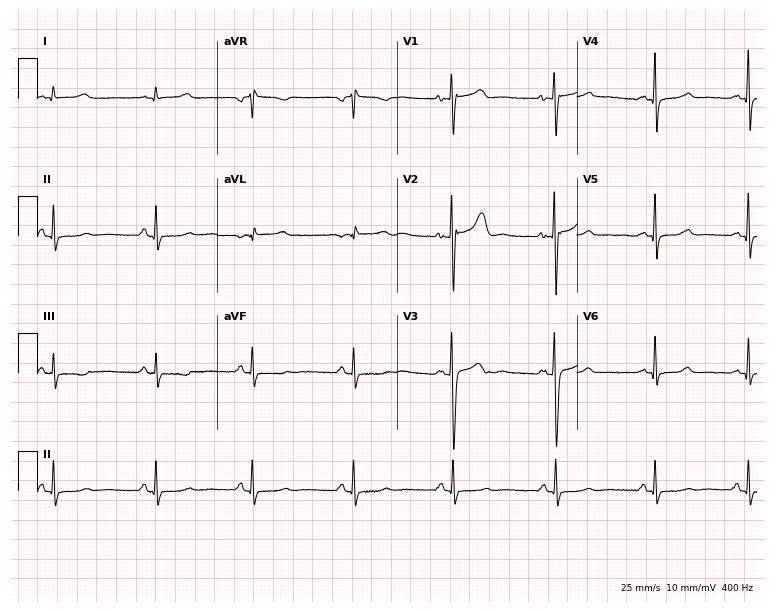
ECG (7.3-second recording at 400 Hz) — a female patient, 27 years old. Screened for six findings — first-degree AV block, right bundle branch block, left bundle branch block, sinus bradycardia, atrial fibrillation, sinus tachycardia — none is recorded. Only these six findings were labelled.